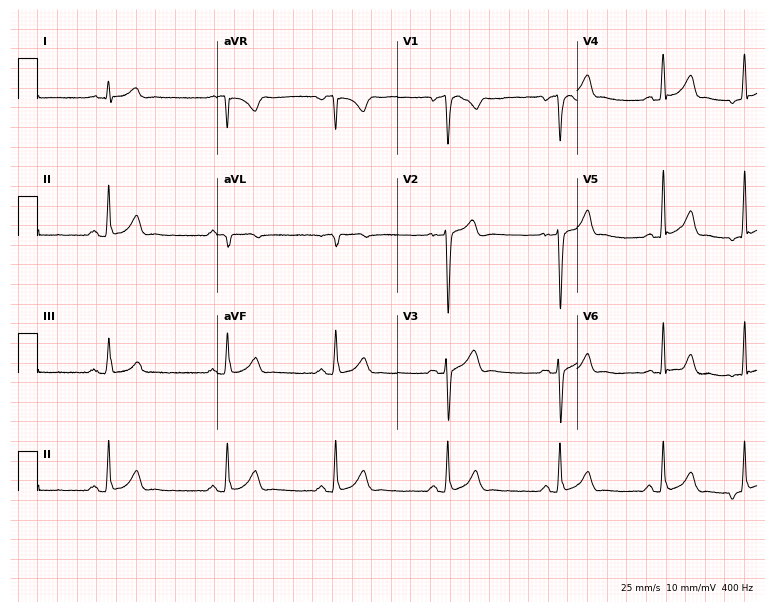
12-lead ECG (7.3-second recording at 400 Hz) from a 24-year-old male. Screened for six findings — first-degree AV block, right bundle branch block, left bundle branch block, sinus bradycardia, atrial fibrillation, sinus tachycardia — none is recorded. Findings outside these six are not listed.